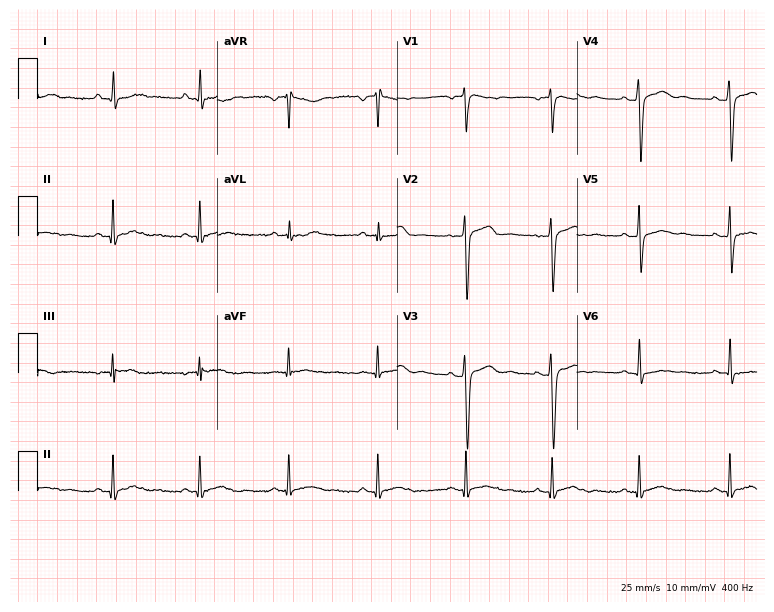
12-lead ECG from a man, 43 years old. Labelled as a normal ECG.